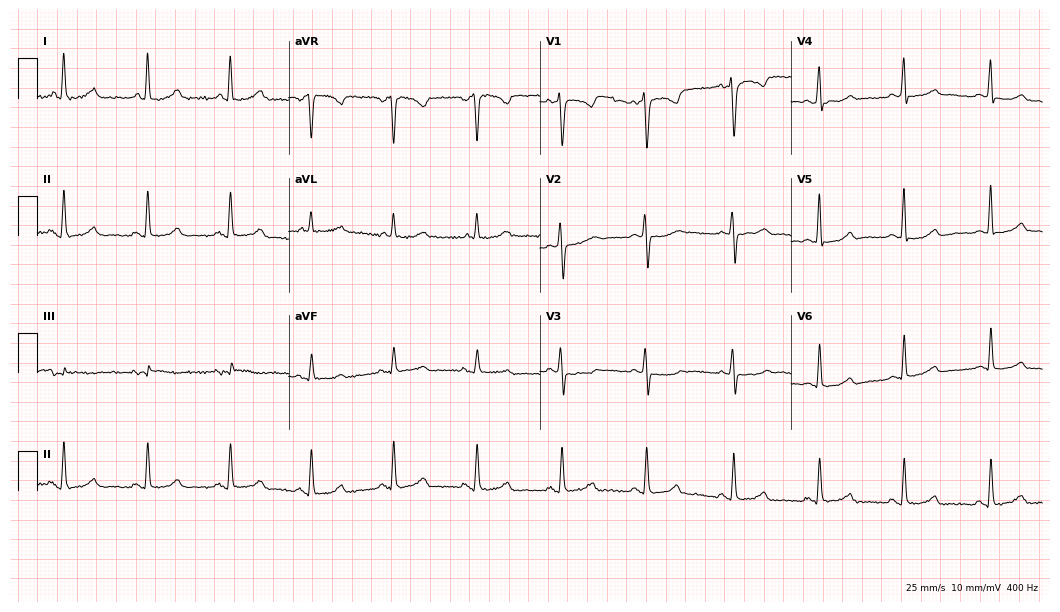
Resting 12-lead electrocardiogram (10.2-second recording at 400 Hz). Patient: a 47-year-old female. Read as a normal ECG.